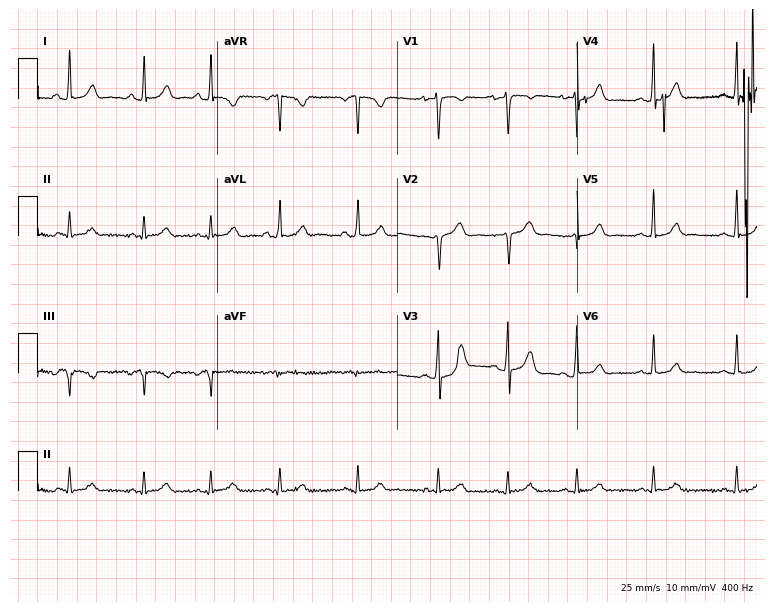
Standard 12-lead ECG recorded from a female patient, 17 years old. None of these six findings is recorded: first-degree AV block, right bundle branch block (RBBB), left bundle branch block (LBBB), sinus bradycardia, atrial fibrillation (AF), sinus tachycardia. Other findings, if any, are not listed.